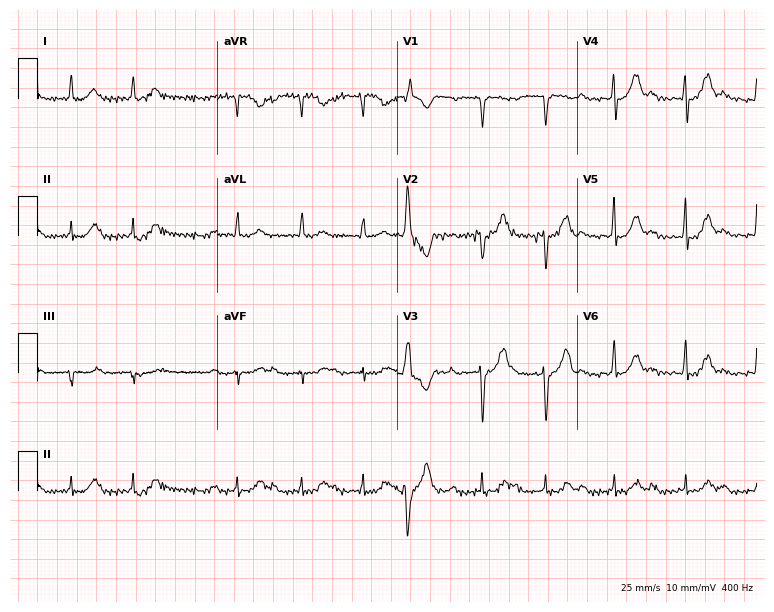
Resting 12-lead electrocardiogram. Patient: a 70-year-old male. None of these six findings is recorded: first-degree AV block, right bundle branch block, left bundle branch block, sinus bradycardia, atrial fibrillation, sinus tachycardia. Findings outside these six are not listed.